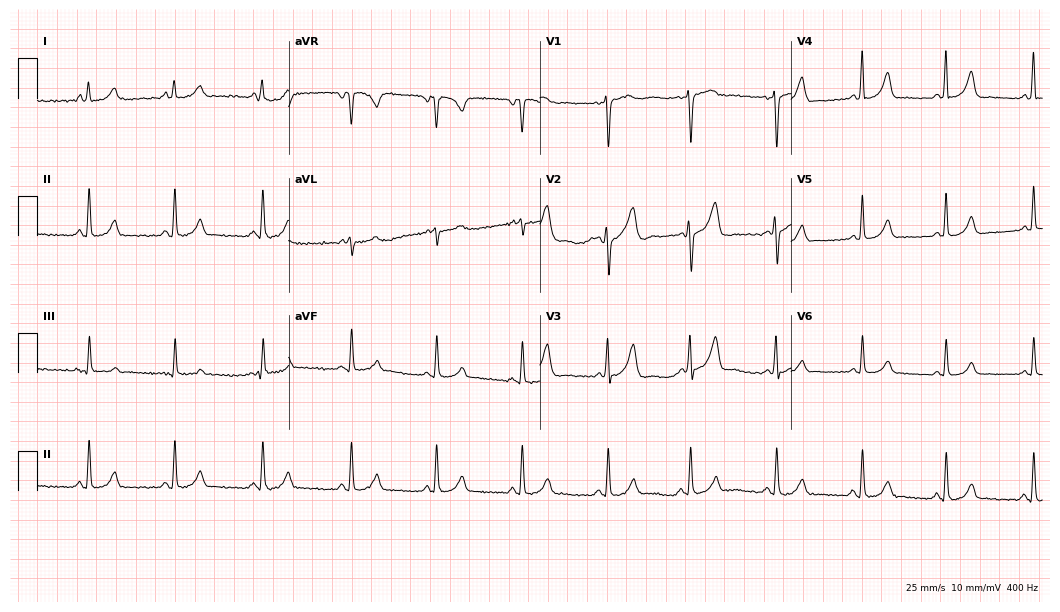
12-lead ECG from a 36-year-old female patient. Labelled as a normal ECG.